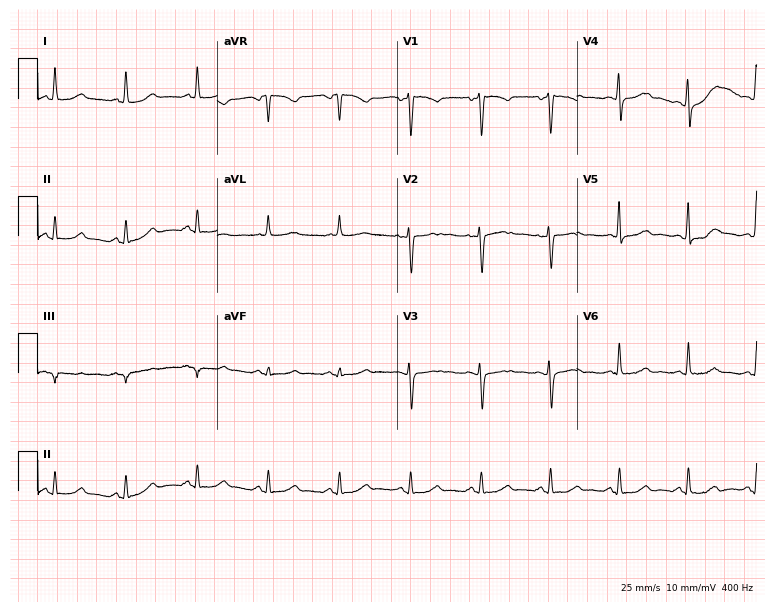
Resting 12-lead electrocardiogram (7.3-second recording at 400 Hz). Patient: a 55-year-old woman. Read as a normal ECG.